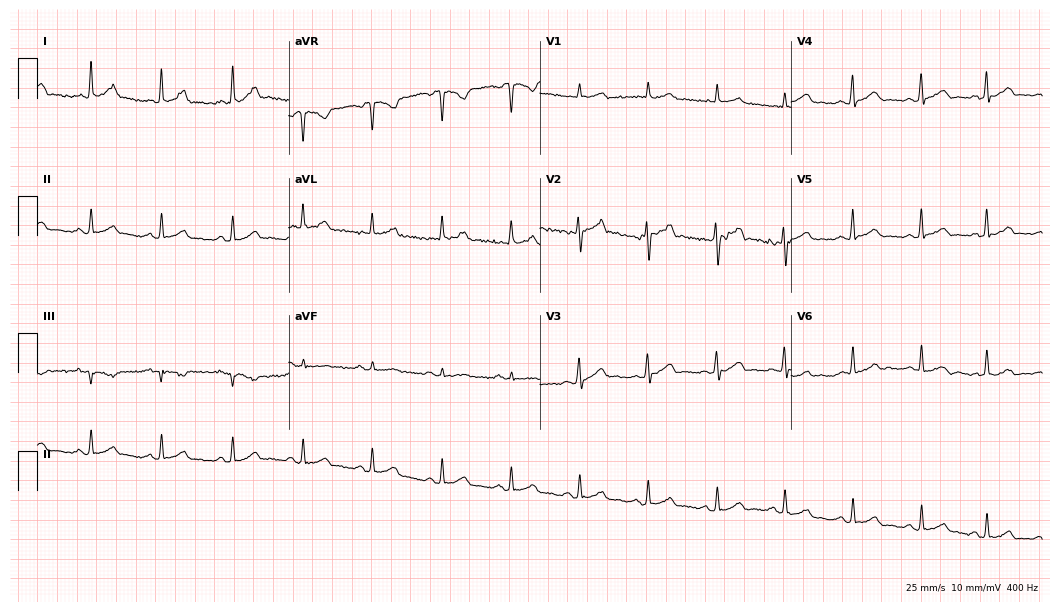
Resting 12-lead electrocardiogram (10.2-second recording at 400 Hz). Patient: a 35-year-old male. Read as a normal ECG.